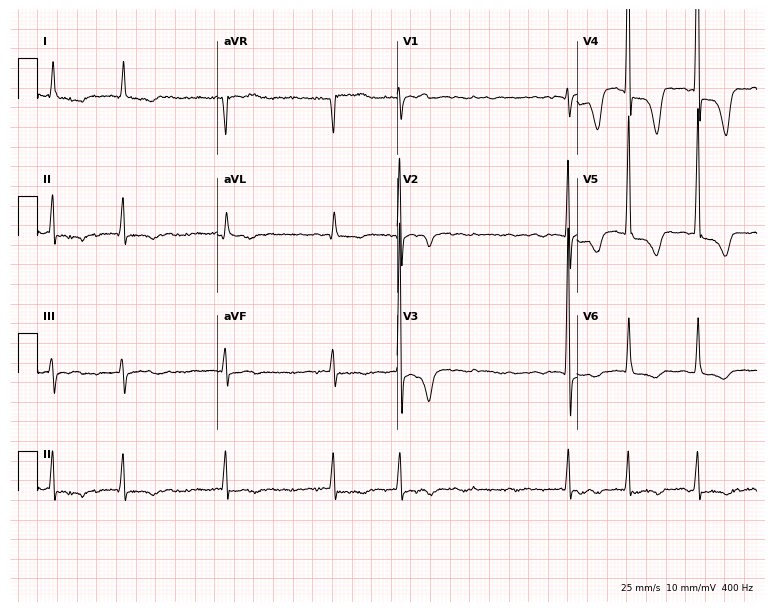
12-lead ECG from an 85-year-old female. Shows atrial fibrillation.